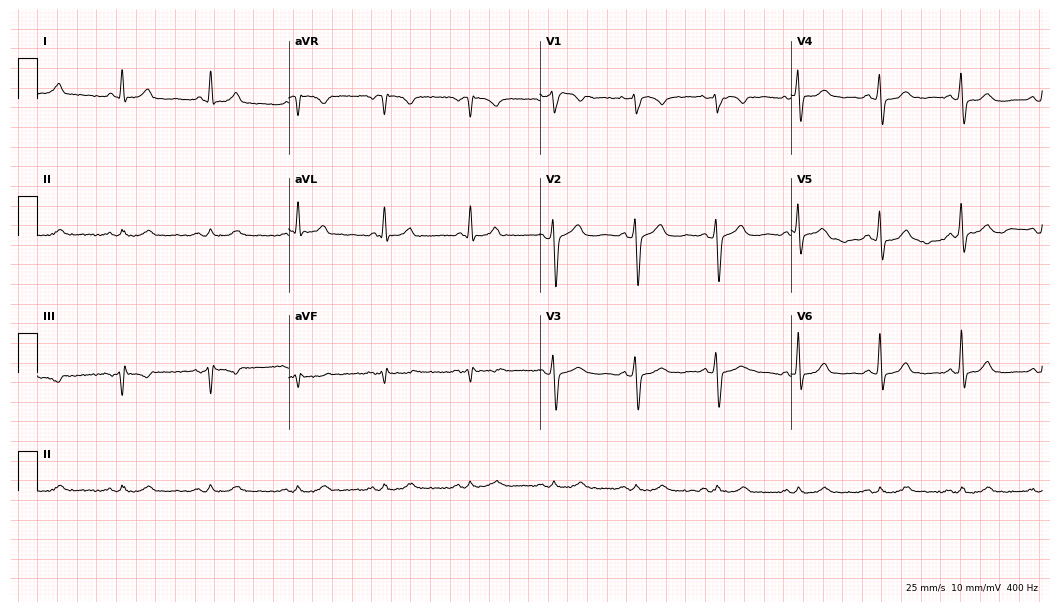
ECG (10.2-second recording at 400 Hz) — a 64-year-old man. Screened for six findings — first-degree AV block, right bundle branch block (RBBB), left bundle branch block (LBBB), sinus bradycardia, atrial fibrillation (AF), sinus tachycardia — none is recorded.